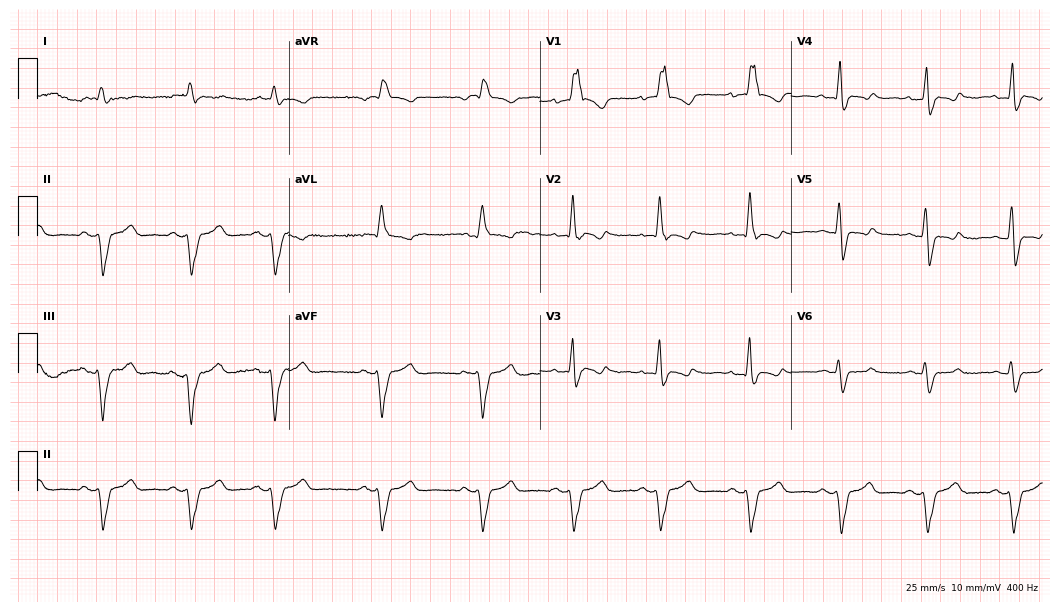
Resting 12-lead electrocardiogram (10.2-second recording at 400 Hz). Patient: a 68-year-old male. The tracing shows right bundle branch block.